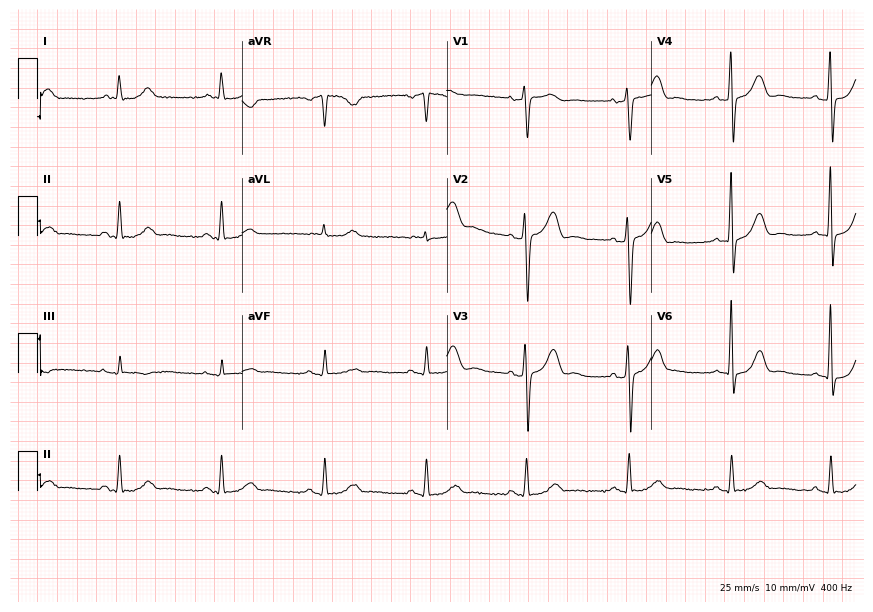
12-lead ECG (8.3-second recording at 400 Hz) from a 68-year-old male patient. Screened for six findings — first-degree AV block, right bundle branch block (RBBB), left bundle branch block (LBBB), sinus bradycardia, atrial fibrillation (AF), sinus tachycardia — none is recorded.